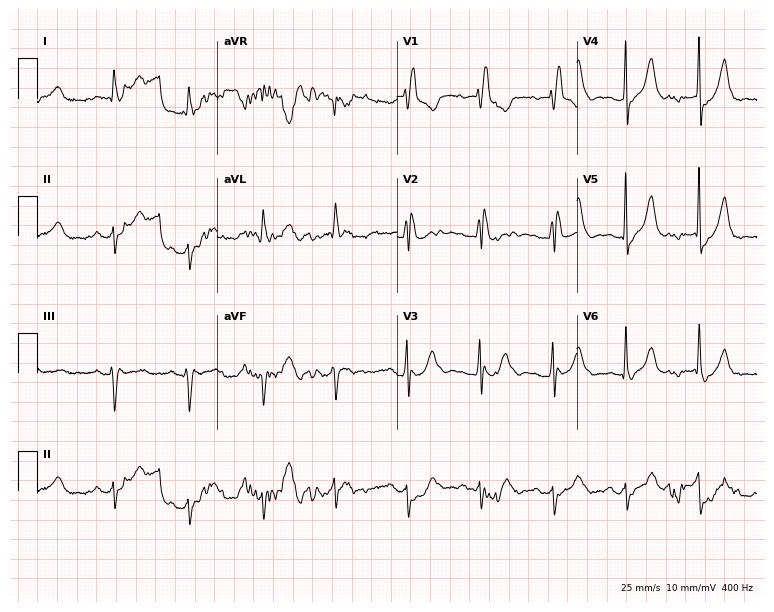
Resting 12-lead electrocardiogram (7.3-second recording at 400 Hz). Patient: a 78-year-old female. The tracing shows right bundle branch block.